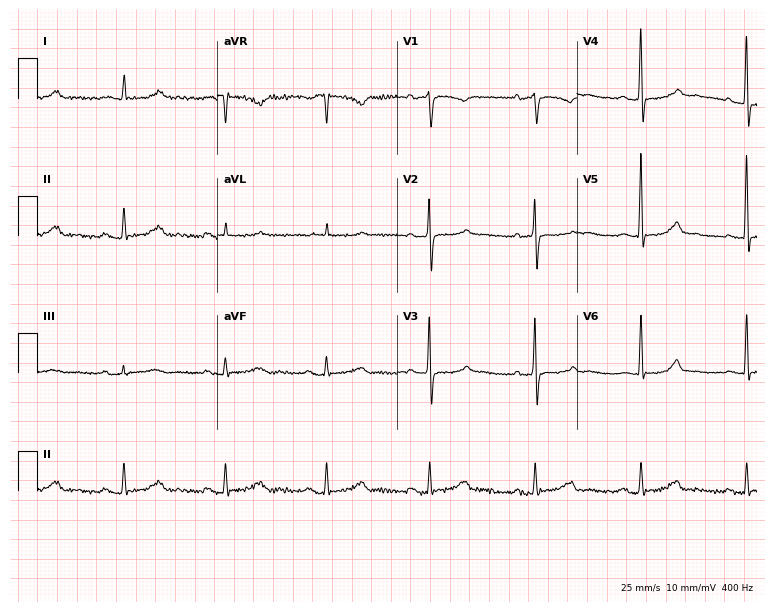
Standard 12-lead ECG recorded from a 70-year-old female (7.3-second recording at 400 Hz). None of these six findings is recorded: first-degree AV block, right bundle branch block, left bundle branch block, sinus bradycardia, atrial fibrillation, sinus tachycardia. Other findings, if any, are not listed.